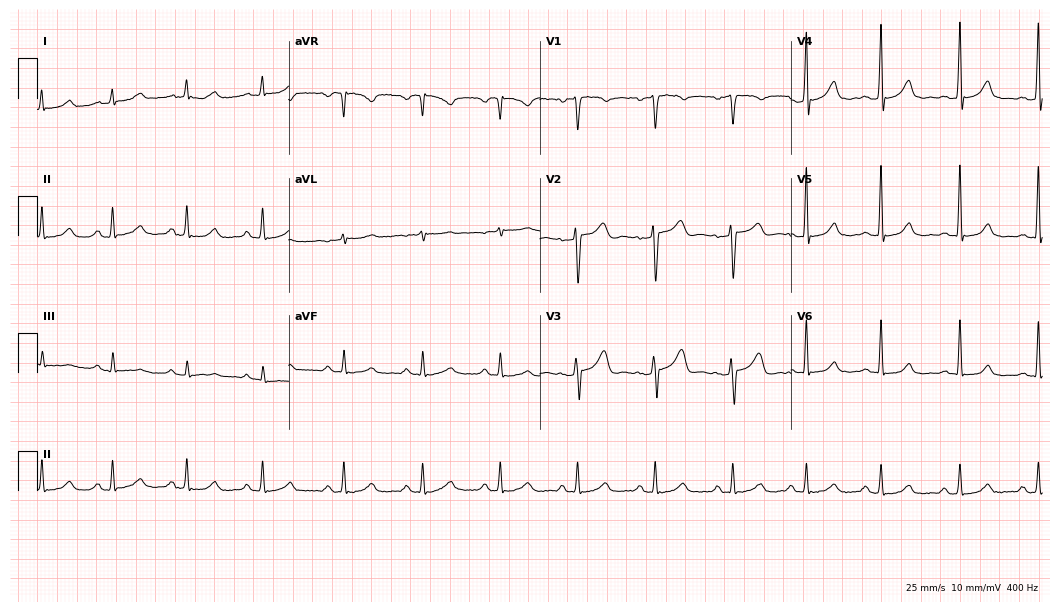
12-lead ECG from a man, 40 years old. No first-degree AV block, right bundle branch block, left bundle branch block, sinus bradycardia, atrial fibrillation or sinus tachycardia recorded for this tracing. Findings outside these six are not listed.